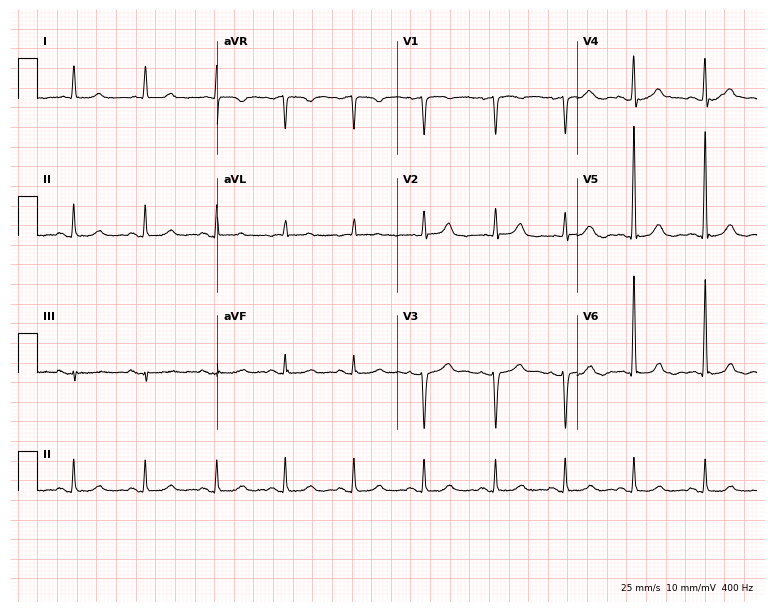
Electrocardiogram (7.3-second recording at 400 Hz), a female patient, 79 years old. Overall reading on record: normal ECG.